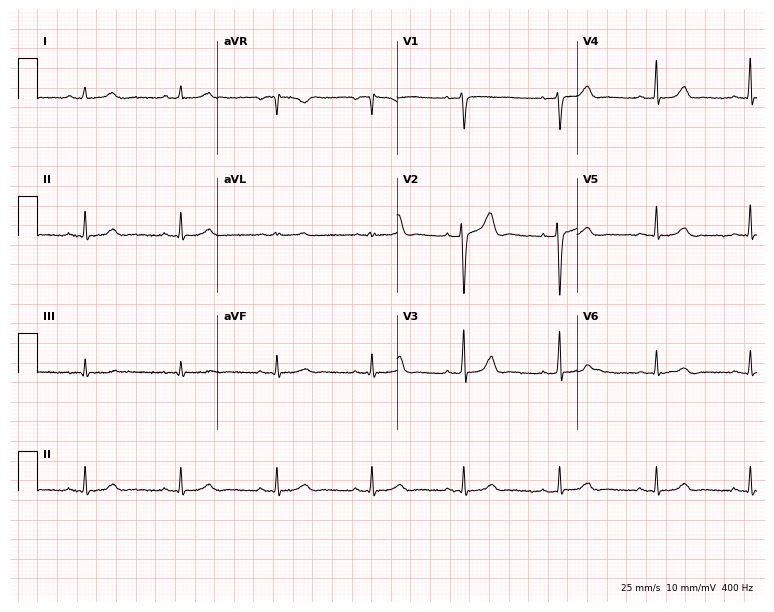
12-lead ECG from a 36-year-old female. Recorded interpretation: within normal limits.